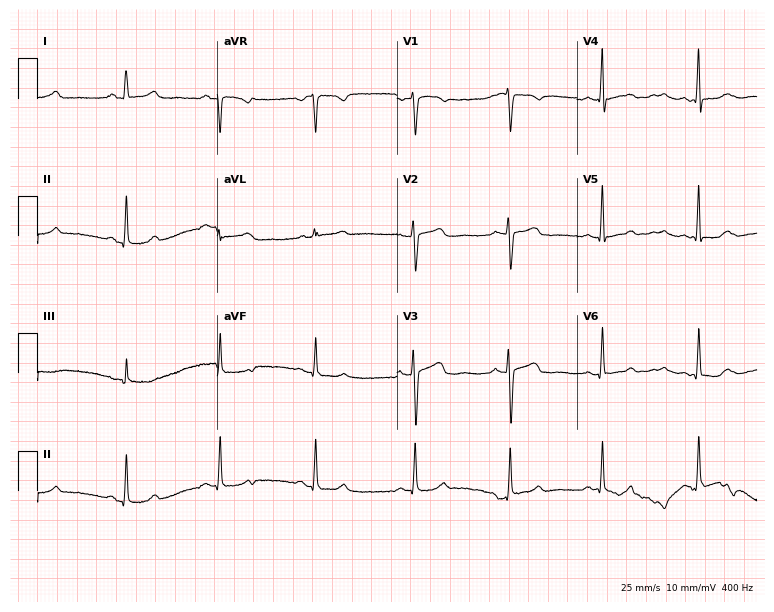
Standard 12-lead ECG recorded from a female, 35 years old. None of these six findings is recorded: first-degree AV block, right bundle branch block, left bundle branch block, sinus bradycardia, atrial fibrillation, sinus tachycardia.